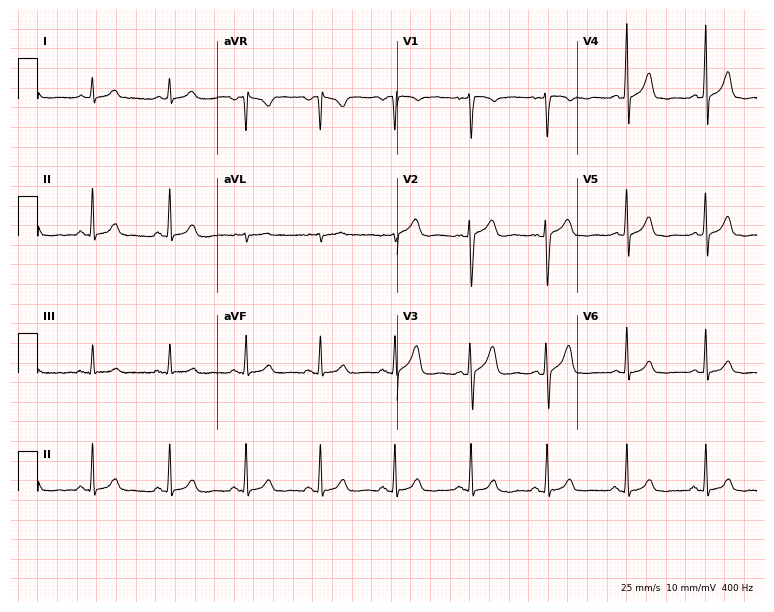
Standard 12-lead ECG recorded from a female patient, 50 years old (7.3-second recording at 400 Hz). Read as a normal ECG.